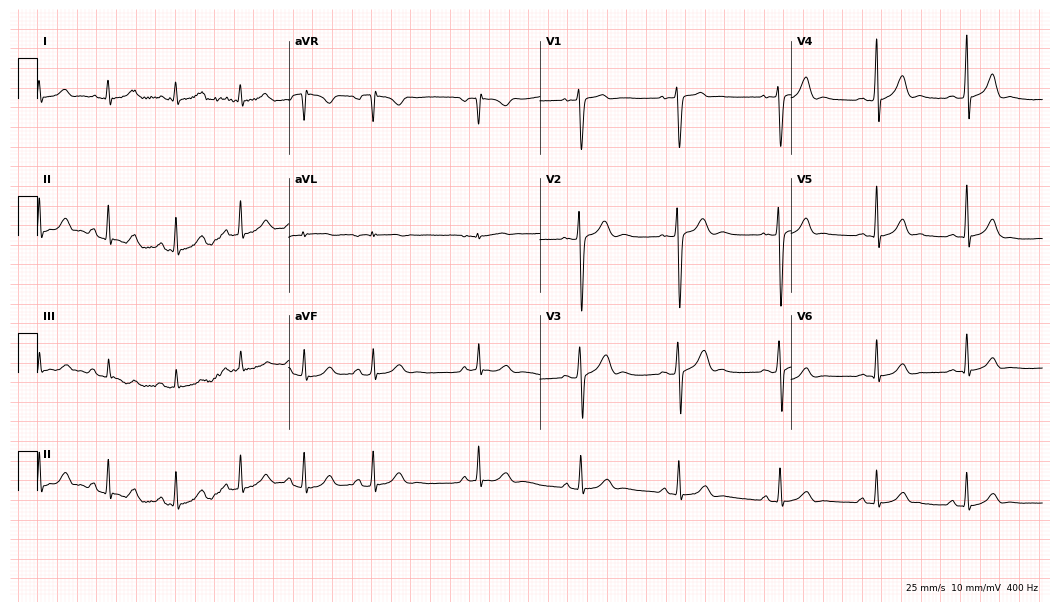
Resting 12-lead electrocardiogram (10.2-second recording at 400 Hz). Patient: a male, 17 years old. Read as a normal ECG.